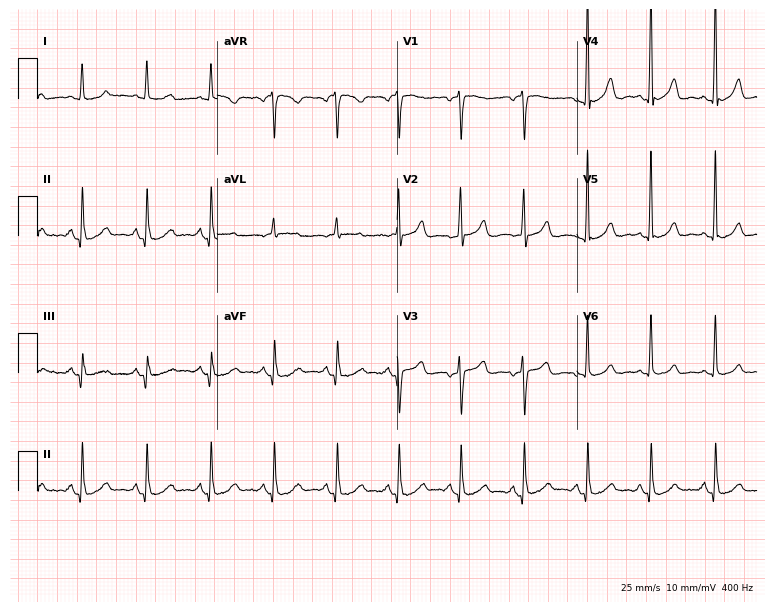
ECG (7.3-second recording at 400 Hz) — a female, 82 years old. Labelled as a normal ECG.